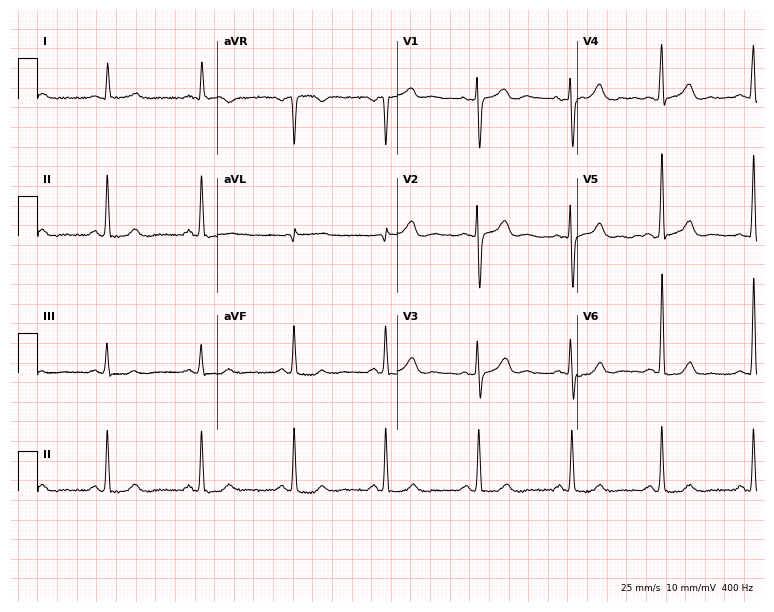
12-lead ECG from a female, 69 years old. Recorded interpretation: within normal limits.